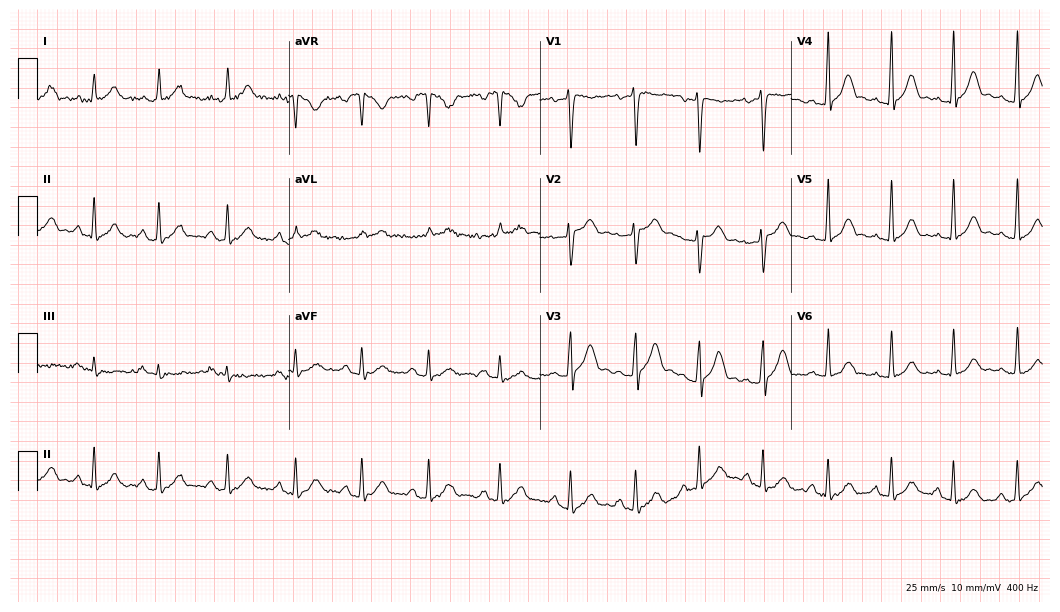
12-lead ECG (10.2-second recording at 400 Hz) from a female patient, 26 years old. Labelled as a normal ECG.